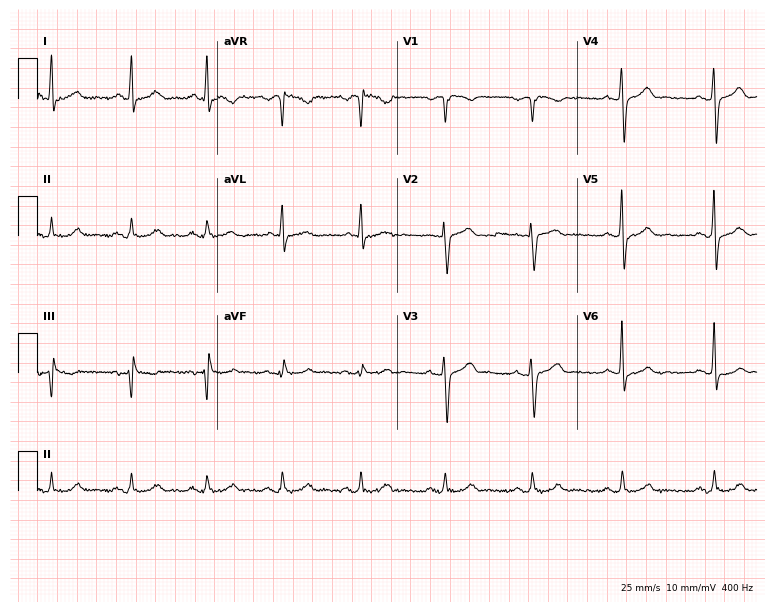
Electrocardiogram, a male patient, 44 years old. Of the six screened findings (first-degree AV block, right bundle branch block (RBBB), left bundle branch block (LBBB), sinus bradycardia, atrial fibrillation (AF), sinus tachycardia), none is recorded.